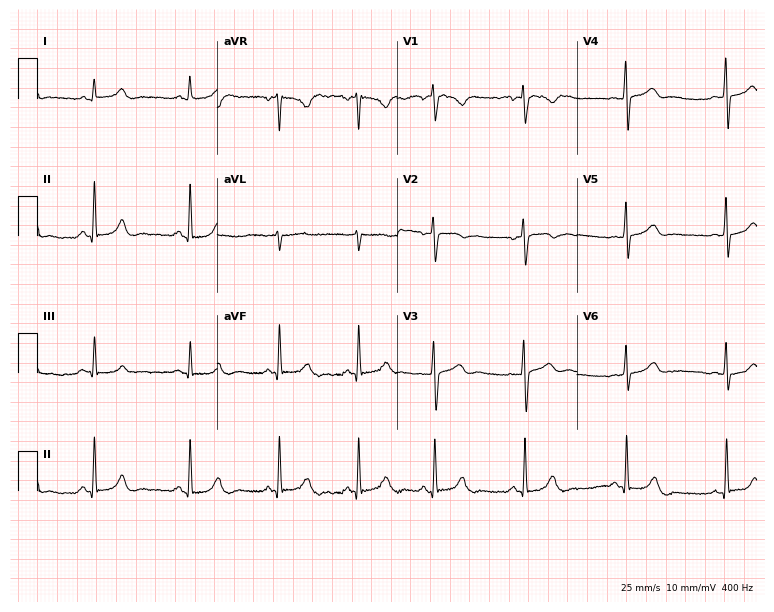
12-lead ECG from a 36-year-old female. Recorded interpretation: within normal limits.